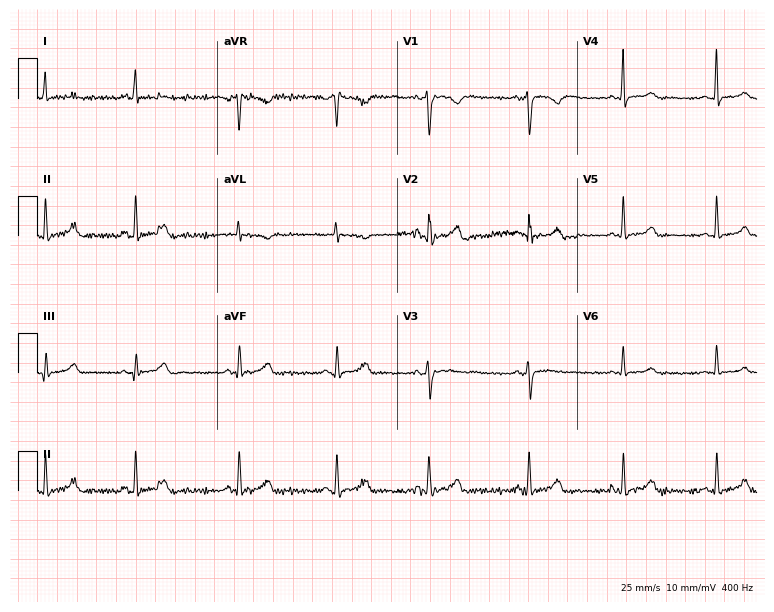
12-lead ECG (7.3-second recording at 400 Hz) from a female patient, 26 years old. Screened for six findings — first-degree AV block, right bundle branch block, left bundle branch block, sinus bradycardia, atrial fibrillation, sinus tachycardia — none is recorded.